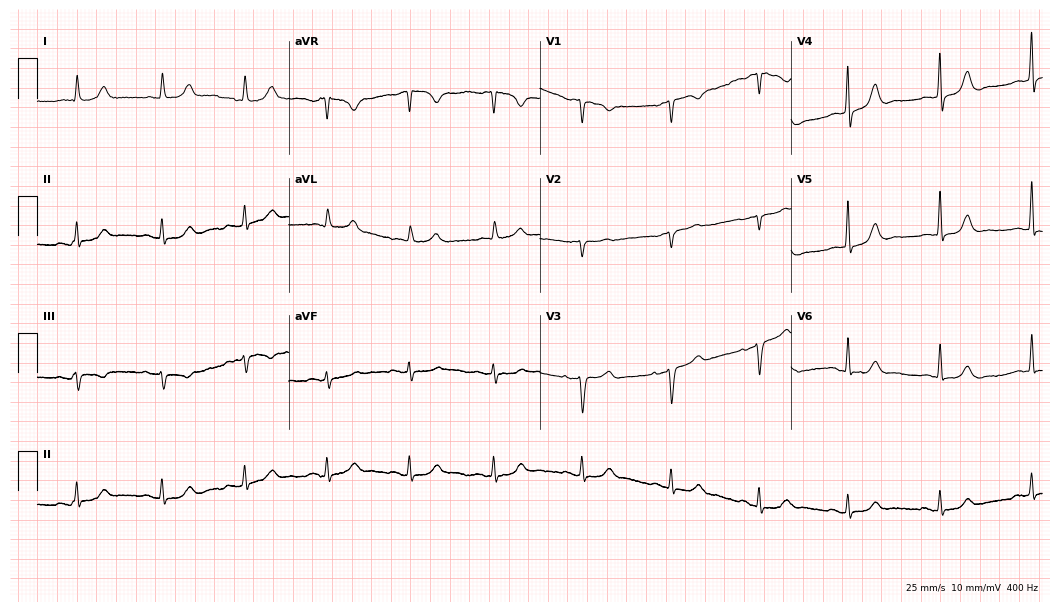
Standard 12-lead ECG recorded from a woman, 82 years old. None of these six findings is recorded: first-degree AV block, right bundle branch block (RBBB), left bundle branch block (LBBB), sinus bradycardia, atrial fibrillation (AF), sinus tachycardia.